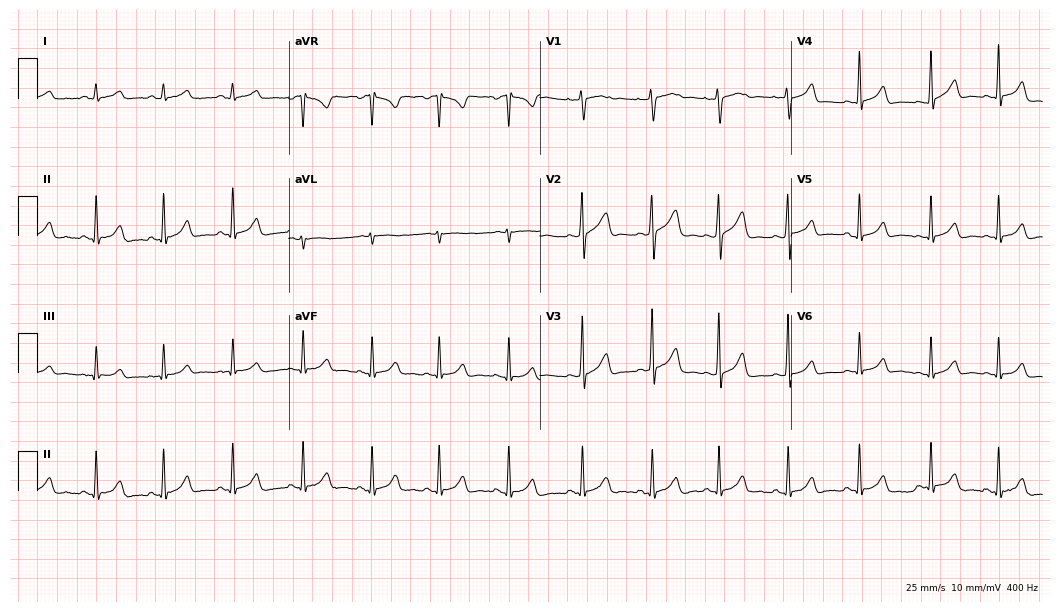
Electrocardiogram, a 17-year-old female. Overall reading on record: normal ECG.